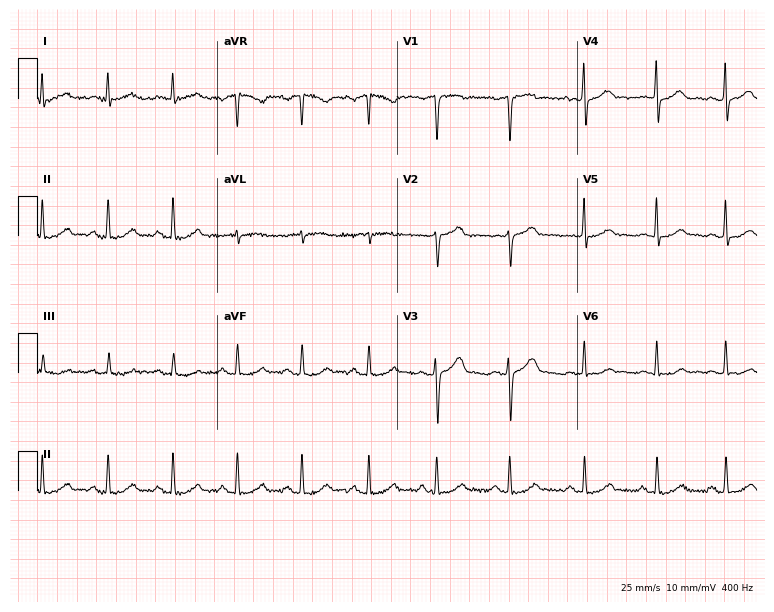
Resting 12-lead electrocardiogram (7.3-second recording at 400 Hz). Patient: a 56-year-old male. Read as a normal ECG.